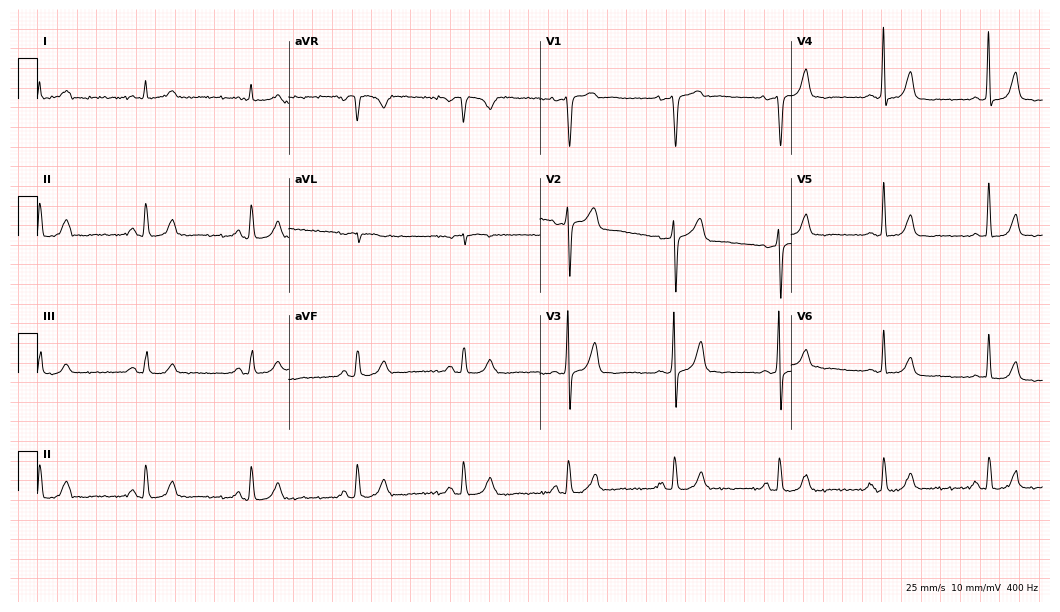
12-lead ECG from a man, 78 years old. No first-degree AV block, right bundle branch block, left bundle branch block, sinus bradycardia, atrial fibrillation or sinus tachycardia recorded for this tracing.